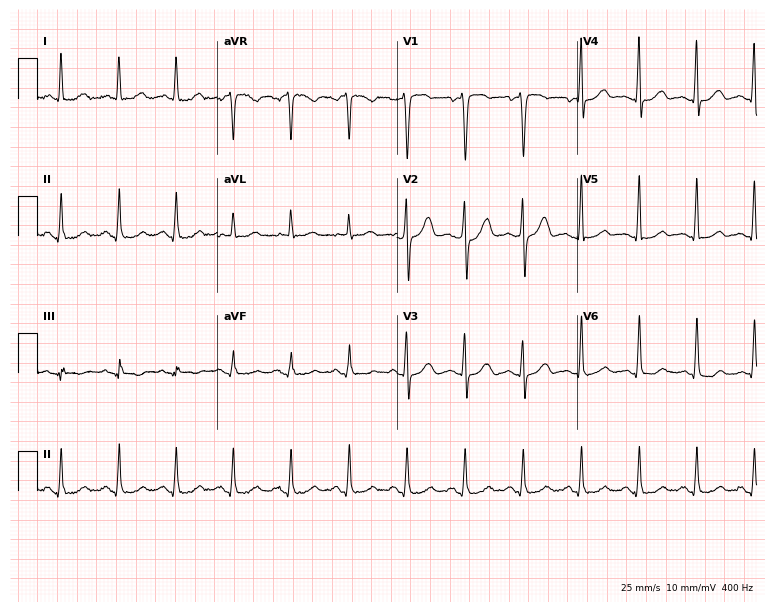
Standard 12-lead ECG recorded from a man, 40 years old (7.3-second recording at 400 Hz). The tracing shows sinus tachycardia (a sinus rate of 100 beats per minute or more).